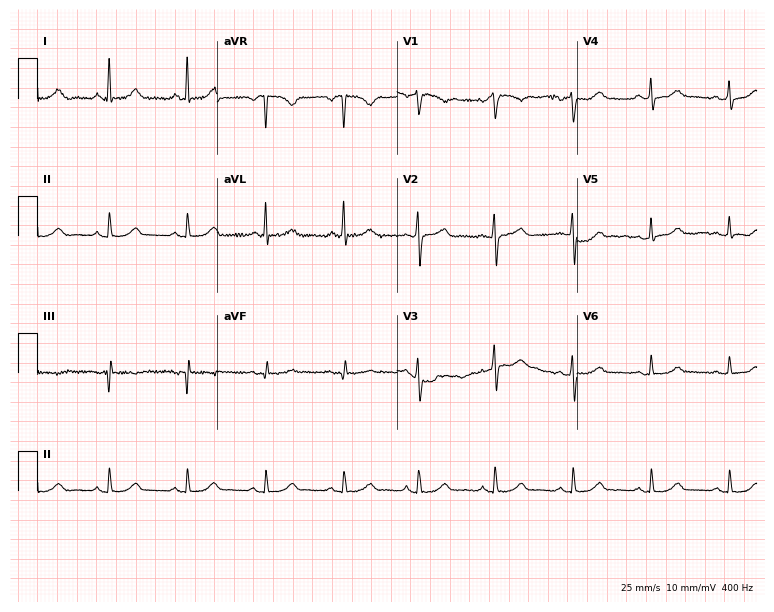
Resting 12-lead electrocardiogram. Patient: a 64-year-old female. None of these six findings is recorded: first-degree AV block, right bundle branch block, left bundle branch block, sinus bradycardia, atrial fibrillation, sinus tachycardia. Findings outside these six are not listed.